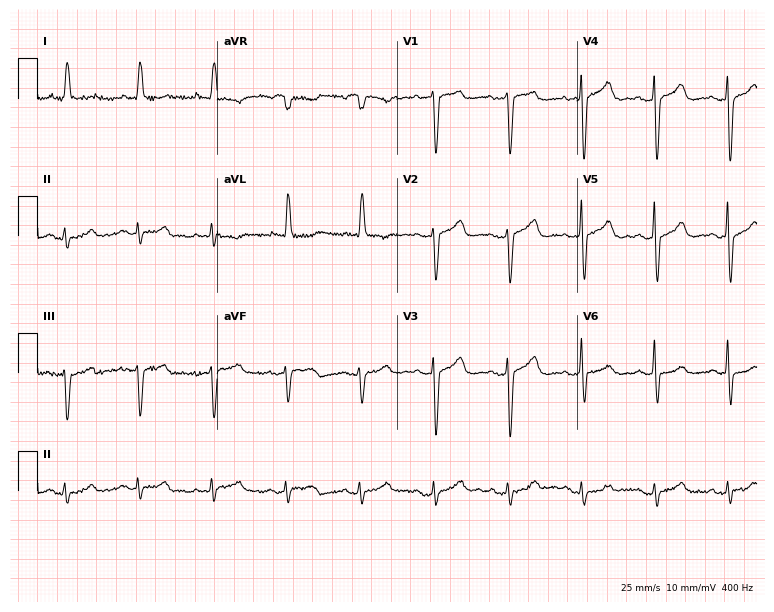
12-lead ECG from a woman, 76 years old (7.3-second recording at 400 Hz). No first-degree AV block, right bundle branch block (RBBB), left bundle branch block (LBBB), sinus bradycardia, atrial fibrillation (AF) or sinus tachycardia recorded for this tracing.